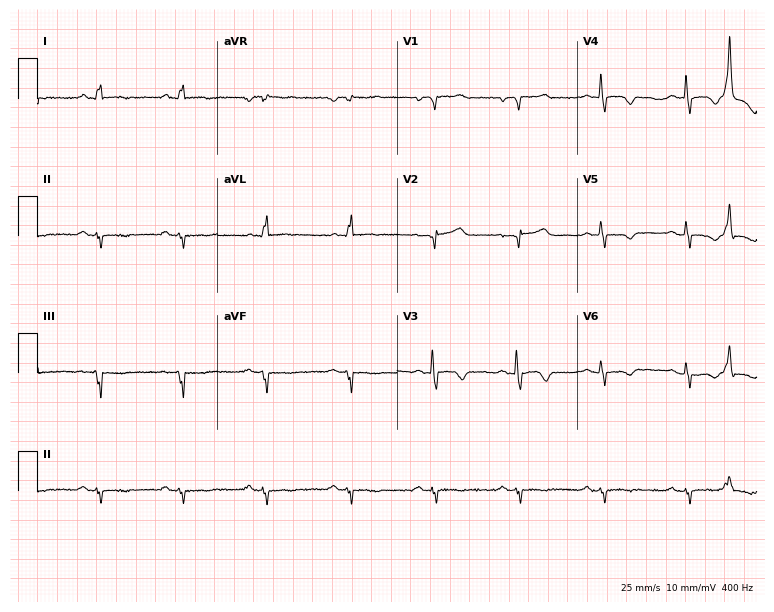
12-lead ECG (7.3-second recording at 400 Hz) from a male patient, 60 years old. Screened for six findings — first-degree AV block, right bundle branch block, left bundle branch block, sinus bradycardia, atrial fibrillation, sinus tachycardia — none is recorded.